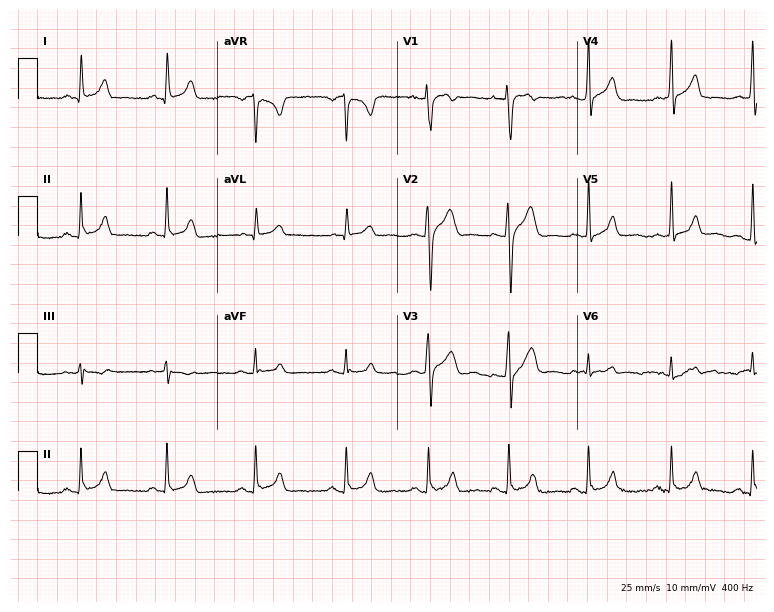
Standard 12-lead ECG recorded from a 32-year-old male (7.3-second recording at 400 Hz). Read as a normal ECG.